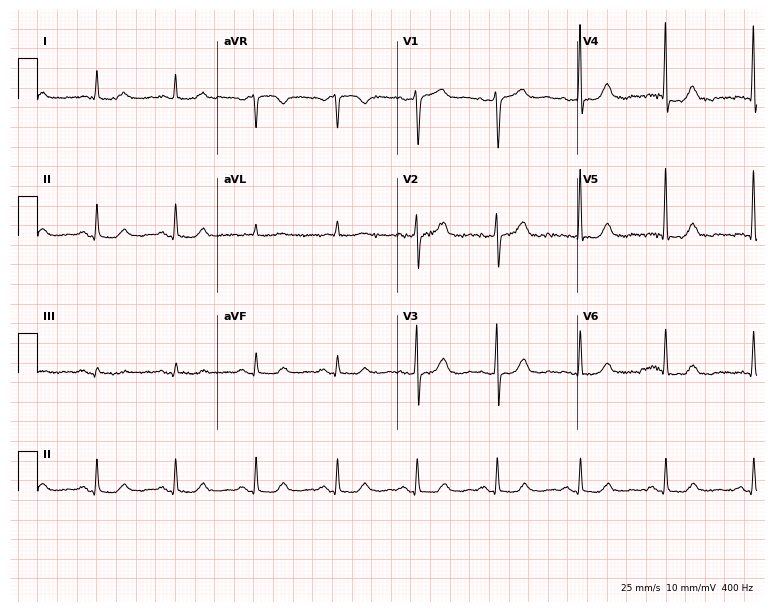
ECG — a woman, 61 years old. Labelled as a normal ECG.